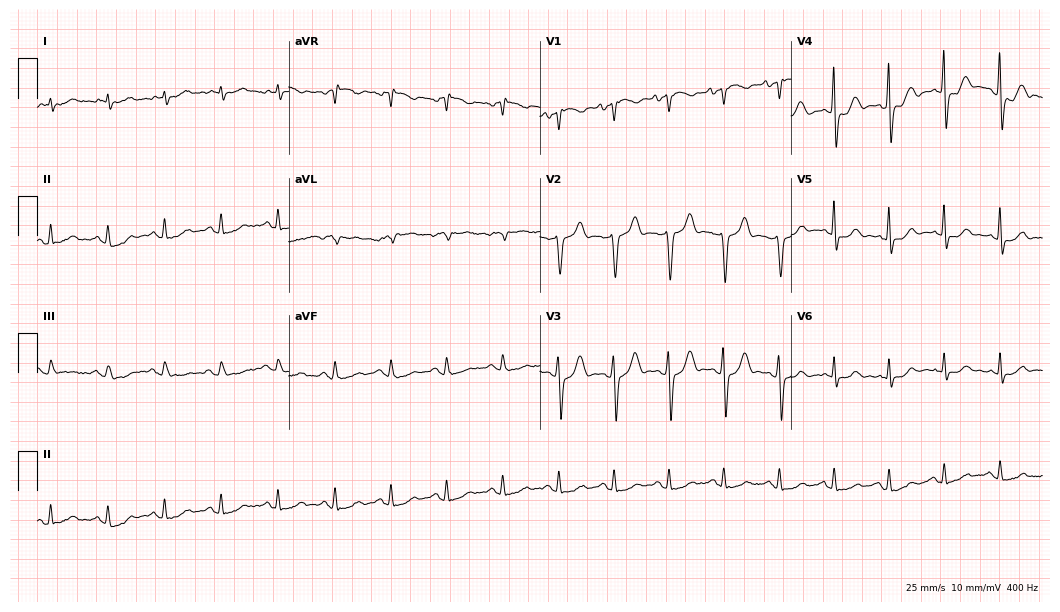
ECG (10.2-second recording at 400 Hz) — an 84-year-old man. Findings include sinus tachycardia (a sinus rate of 100 beats per minute or more).